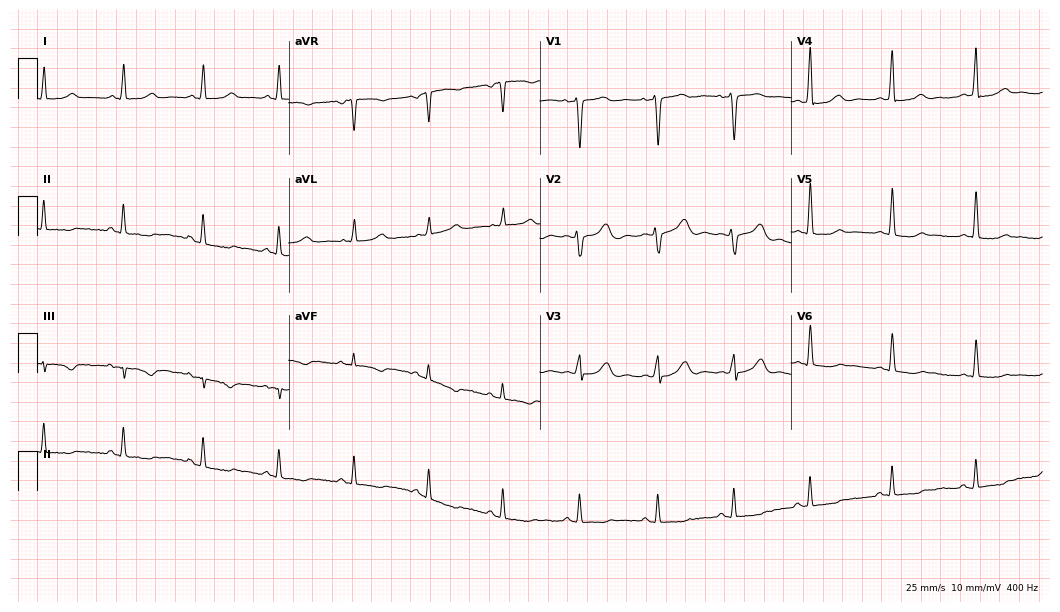
Standard 12-lead ECG recorded from a female patient, 41 years old. None of these six findings is recorded: first-degree AV block, right bundle branch block, left bundle branch block, sinus bradycardia, atrial fibrillation, sinus tachycardia. Findings outside these six are not listed.